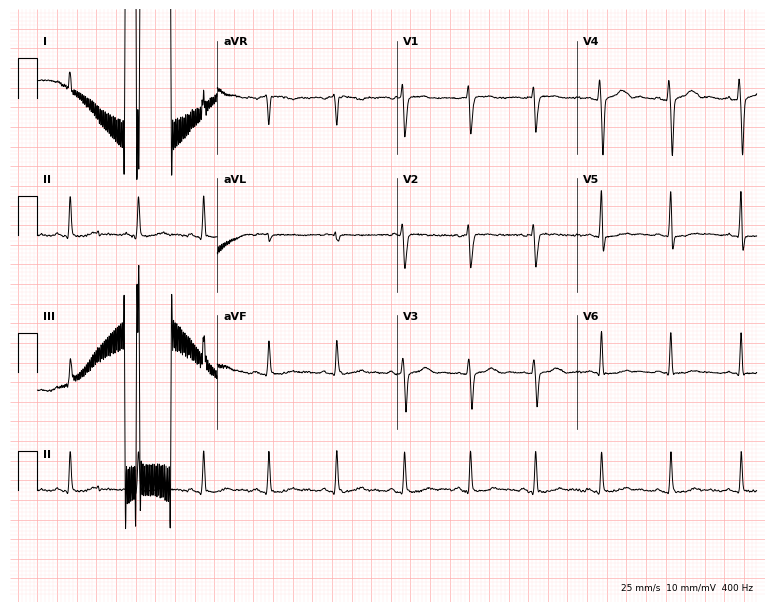
12-lead ECG from a 37-year-old woman (7.3-second recording at 400 Hz). No first-degree AV block, right bundle branch block (RBBB), left bundle branch block (LBBB), sinus bradycardia, atrial fibrillation (AF) or sinus tachycardia recorded for this tracing.